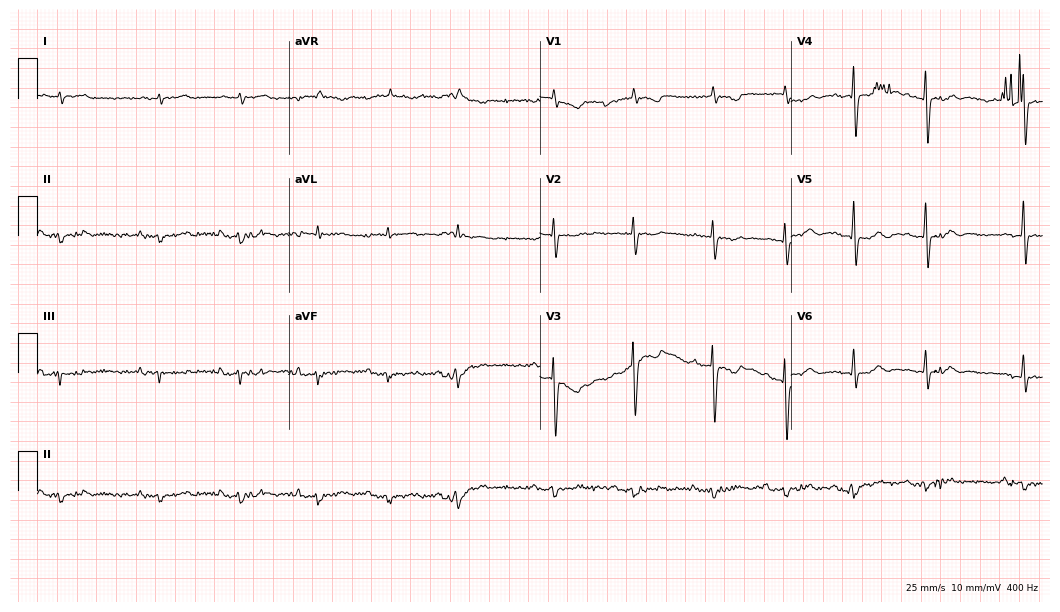
12-lead ECG from a male, 83 years old. Screened for six findings — first-degree AV block, right bundle branch block, left bundle branch block, sinus bradycardia, atrial fibrillation, sinus tachycardia — none is recorded. Only these six findings were labelled.